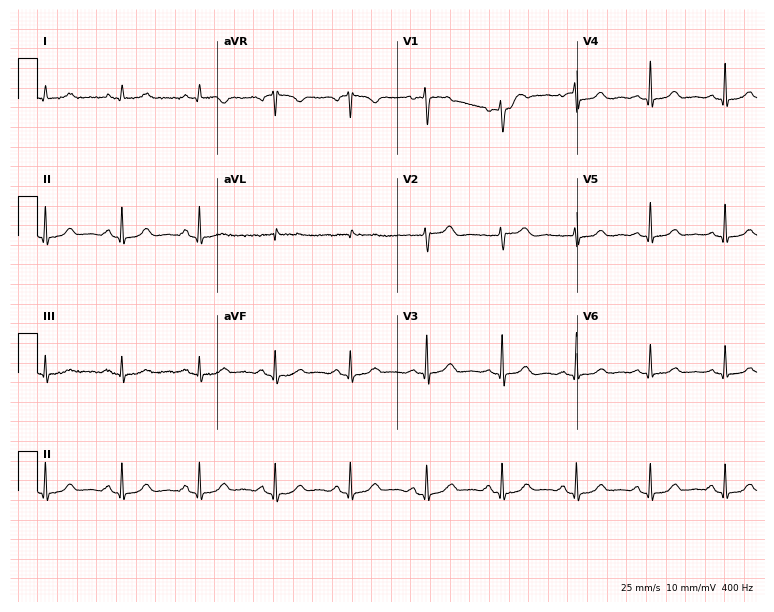
Standard 12-lead ECG recorded from a 48-year-old woman (7.3-second recording at 400 Hz). Read as a normal ECG.